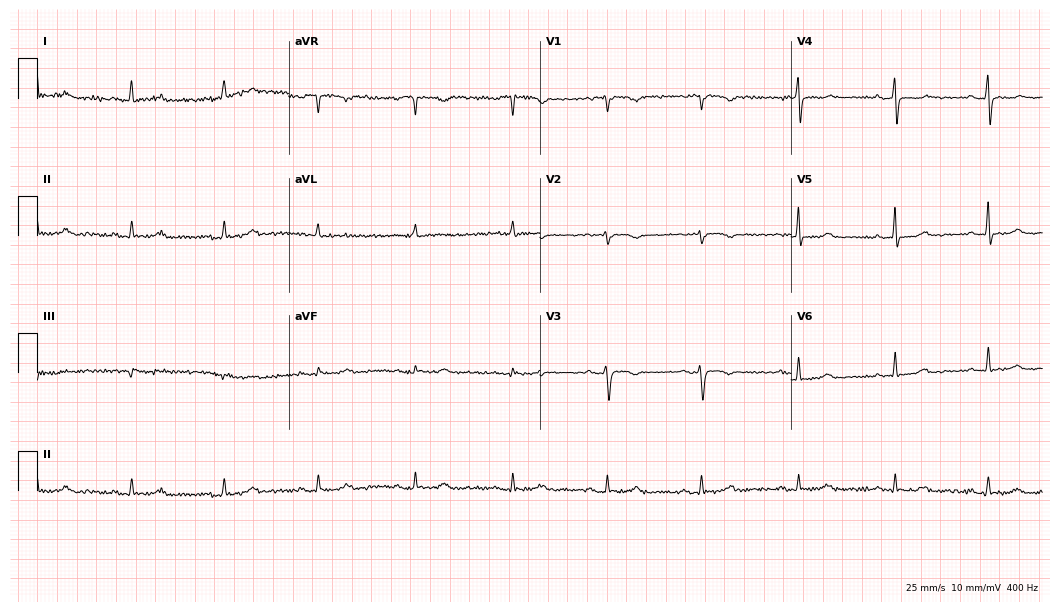
Electrocardiogram, a female patient, 53 years old. Of the six screened findings (first-degree AV block, right bundle branch block, left bundle branch block, sinus bradycardia, atrial fibrillation, sinus tachycardia), none is recorded.